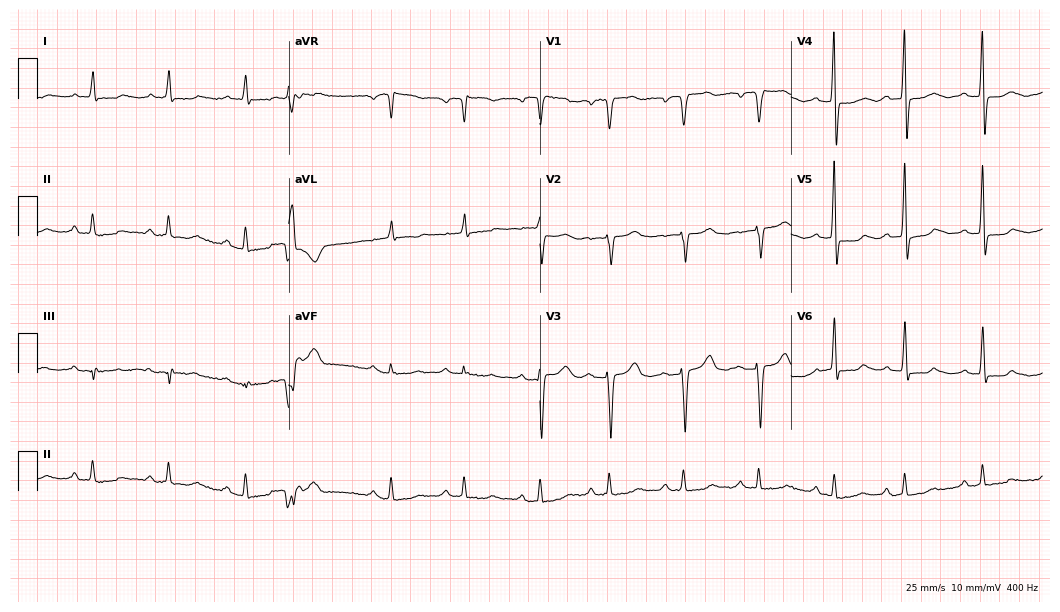
12-lead ECG from an 80-year-old woman (10.2-second recording at 400 Hz). No first-degree AV block, right bundle branch block, left bundle branch block, sinus bradycardia, atrial fibrillation or sinus tachycardia recorded for this tracing. Other findings, if any, are not listed.